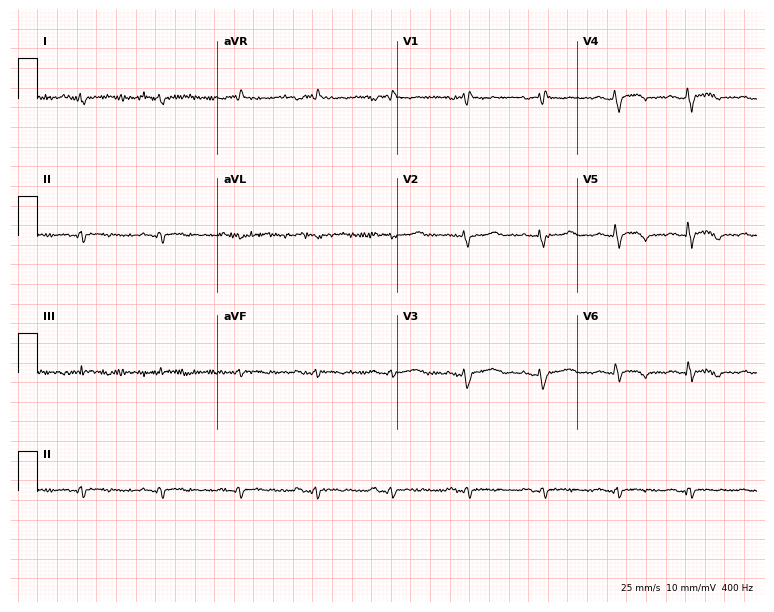
ECG (7.3-second recording at 400 Hz) — a 52-year-old female. Screened for six findings — first-degree AV block, right bundle branch block (RBBB), left bundle branch block (LBBB), sinus bradycardia, atrial fibrillation (AF), sinus tachycardia — none is recorded. Other findings, if any, are not listed.